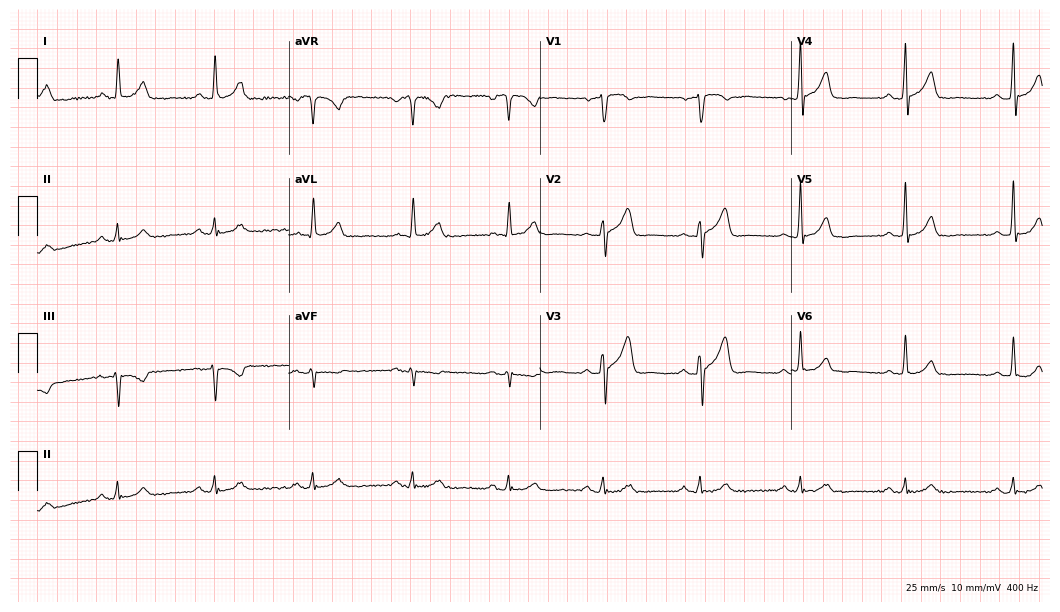
Resting 12-lead electrocardiogram (10.2-second recording at 400 Hz). Patient: a male, 55 years old. Read as a normal ECG.